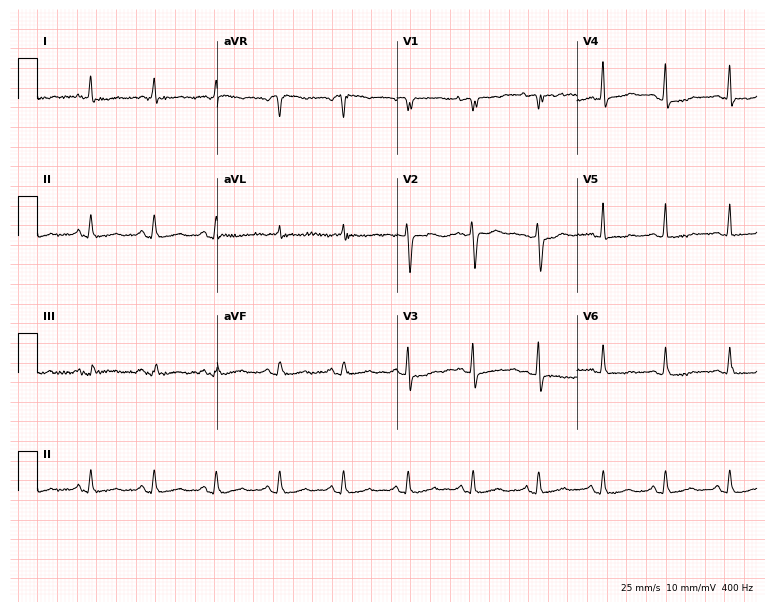
Resting 12-lead electrocardiogram. Patient: a woman, 76 years old. None of these six findings is recorded: first-degree AV block, right bundle branch block, left bundle branch block, sinus bradycardia, atrial fibrillation, sinus tachycardia.